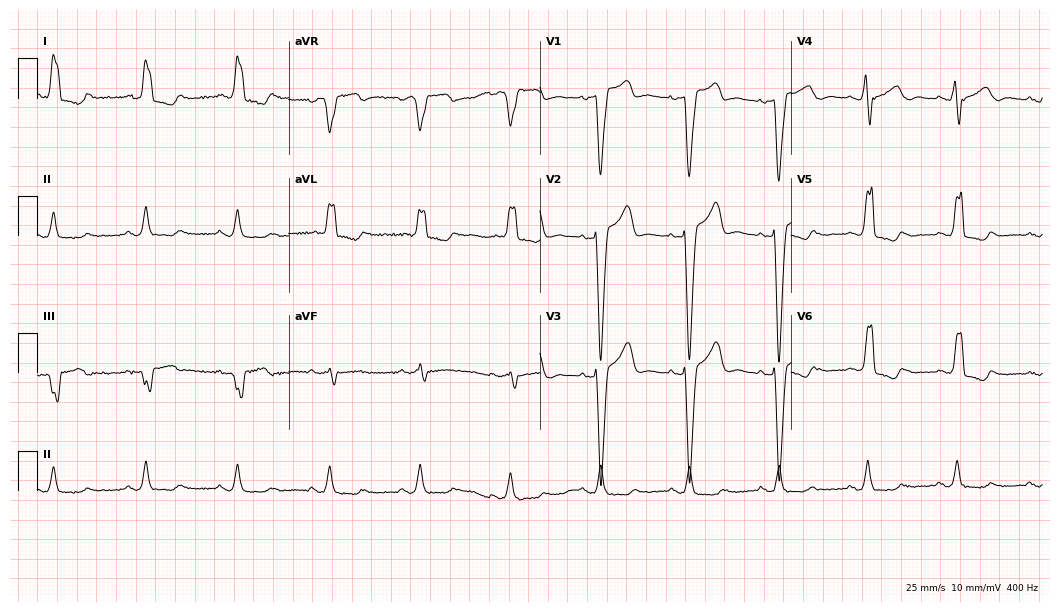
Resting 12-lead electrocardiogram. Patient: a woman, 70 years old. The tracing shows left bundle branch block (LBBB).